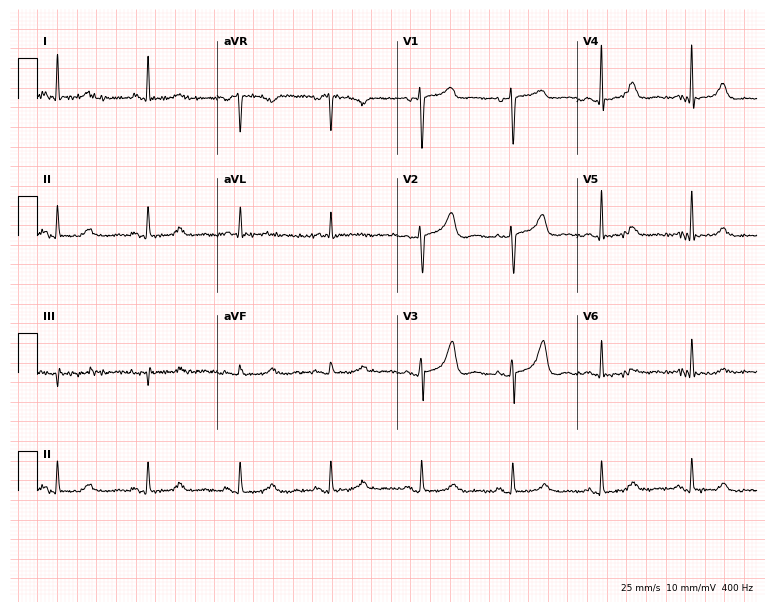
12-lead ECG from a 68-year-old female patient. Screened for six findings — first-degree AV block, right bundle branch block, left bundle branch block, sinus bradycardia, atrial fibrillation, sinus tachycardia — none is recorded. Other findings, if any, are not listed.